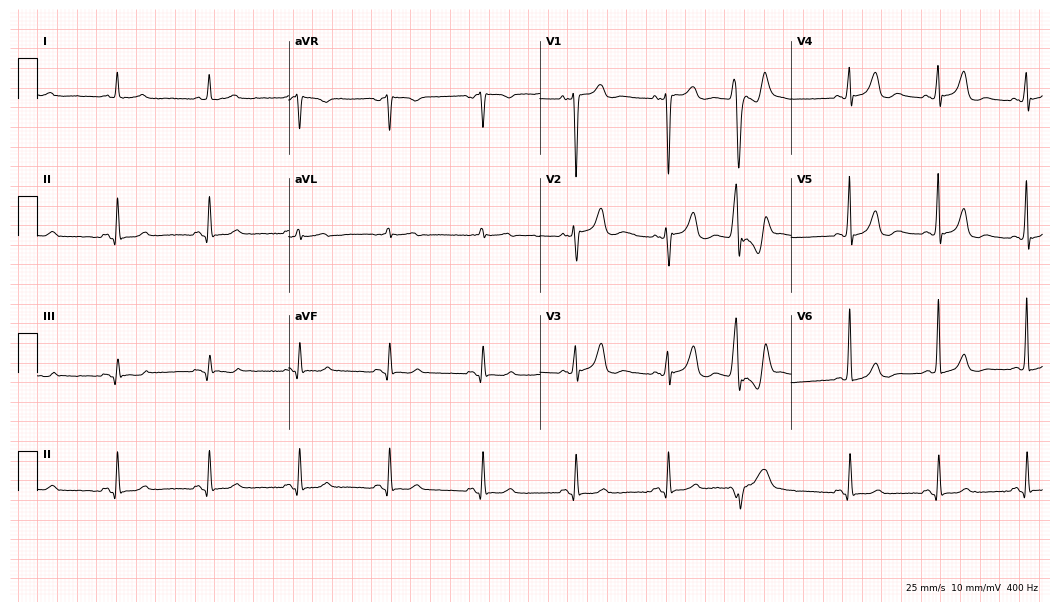
ECG (10.2-second recording at 400 Hz) — a male patient, 73 years old. Screened for six findings — first-degree AV block, right bundle branch block, left bundle branch block, sinus bradycardia, atrial fibrillation, sinus tachycardia — none is recorded. Findings outside these six are not listed.